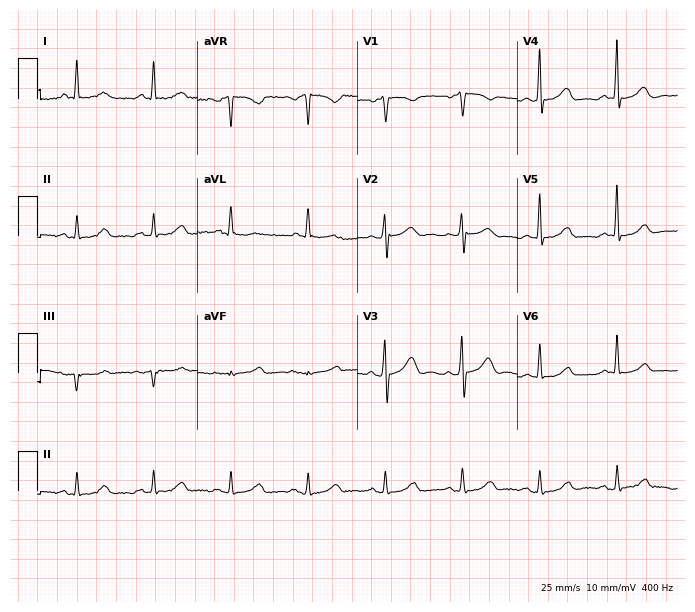
Electrocardiogram, a male, 82 years old. Overall reading on record: normal ECG.